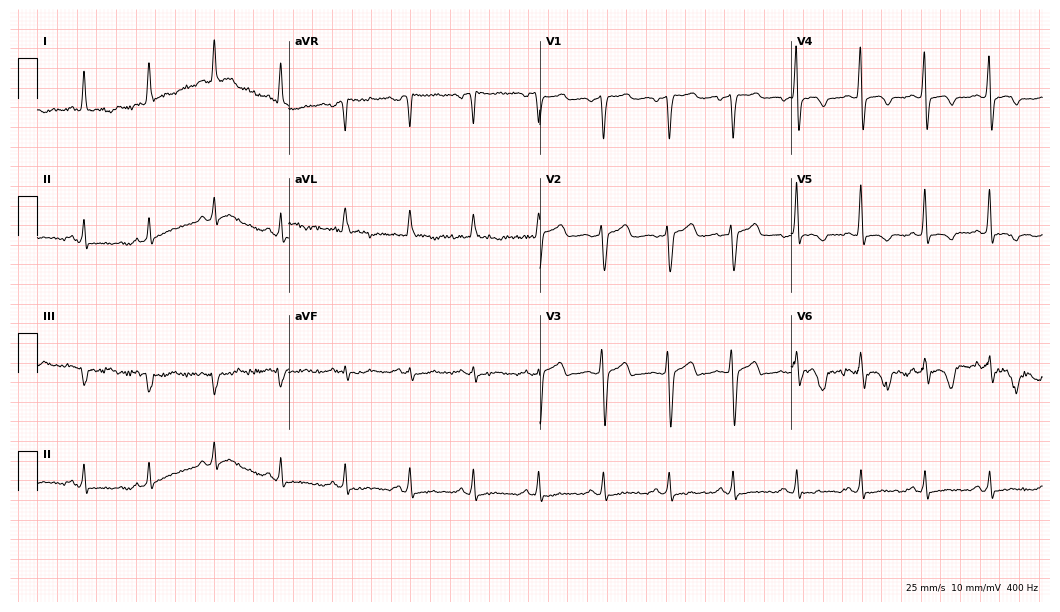
12-lead ECG from a 56-year-old male patient. Recorded interpretation: within normal limits.